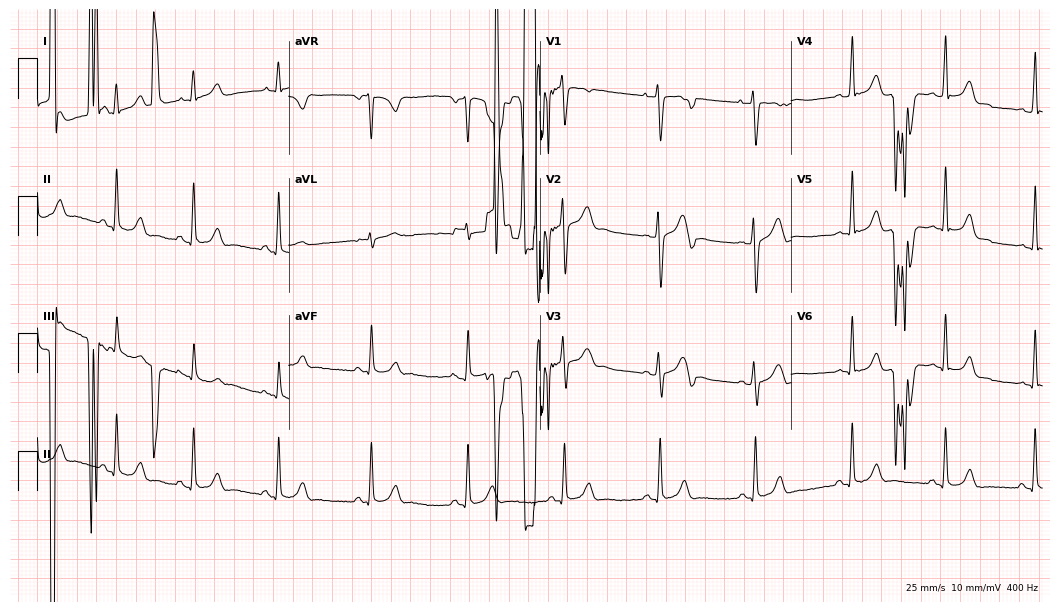
12-lead ECG from a woman, 19 years old (10.2-second recording at 400 Hz). No first-degree AV block, right bundle branch block, left bundle branch block, sinus bradycardia, atrial fibrillation or sinus tachycardia recorded for this tracing.